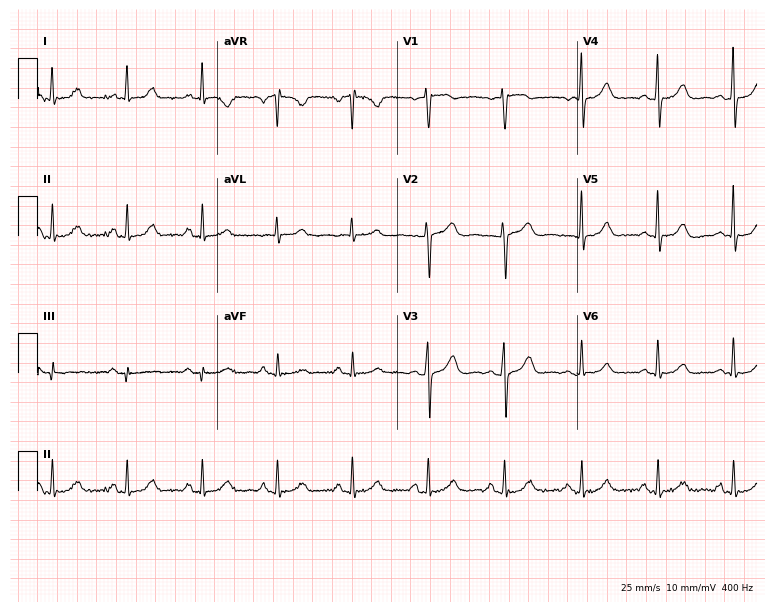
12-lead ECG from a female, 58 years old. Labelled as a normal ECG.